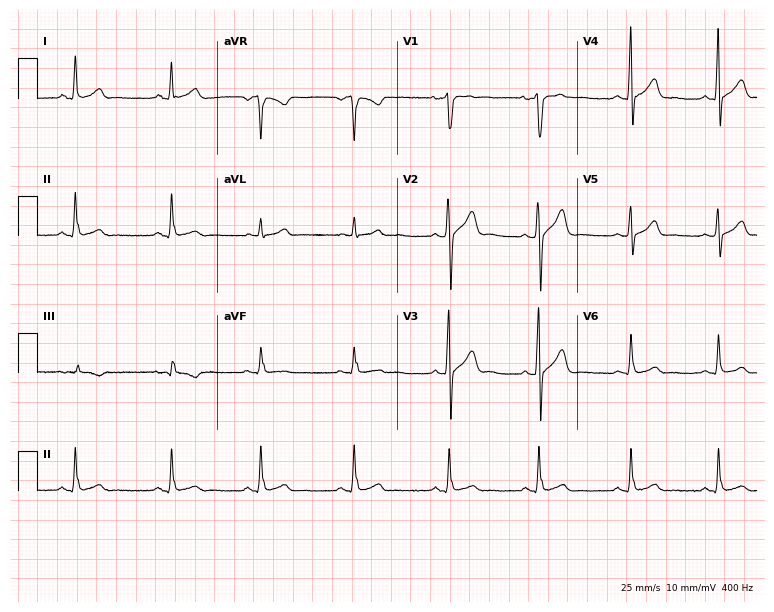
Electrocardiogram (7.3-second recording at 400 Hz), a man, 25 years old. Overall reading on record: normal ECG.